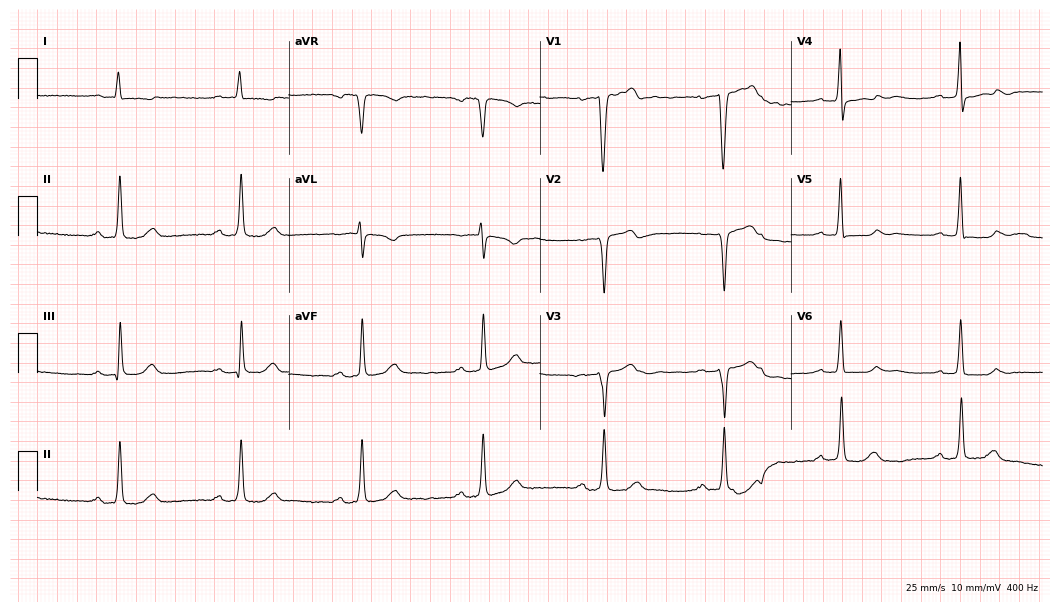
12-lead ECG from a male, 74 years old. Shows first-degree AV block, sinus bradycardia (a sinus rate of 50 beats per minute or less).